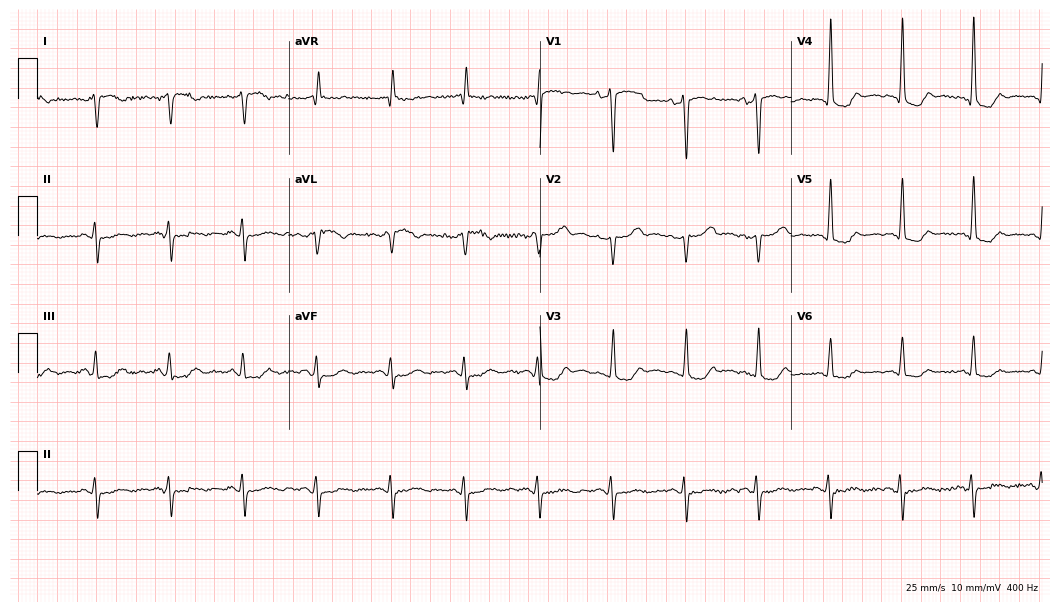
Standard 12-lead ECG recorded from a woman, 64 years old (10.2-second recording at 400 Hz). None of these six findings is recorded: first-degree AV block, right bundle branch block (RBBB), left bundle branch block (LBBB), sinus bradycardia, atrial fibrillation (AF), sinus tachycardia.